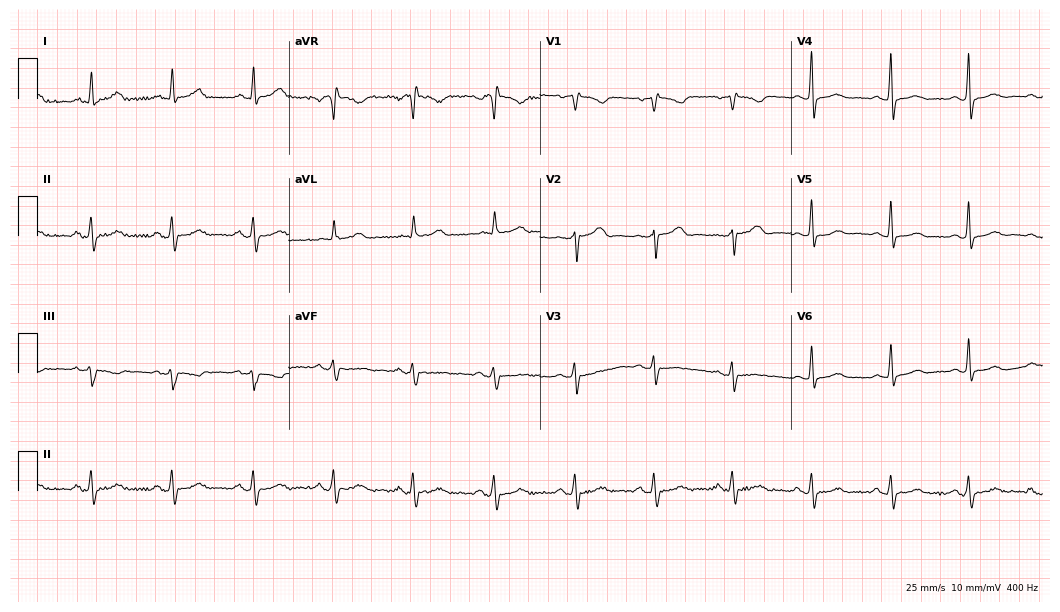
12-lead ECG from a 53-year-old female. Screened for six findings — first-degree AV block, right bundle branch block (RBBB), left bundle branch block (LBBB), sinus bradycardia, atrial fibrillation (AF), sinus tachycardia — none is recorded. Findings outside these six are not listed.